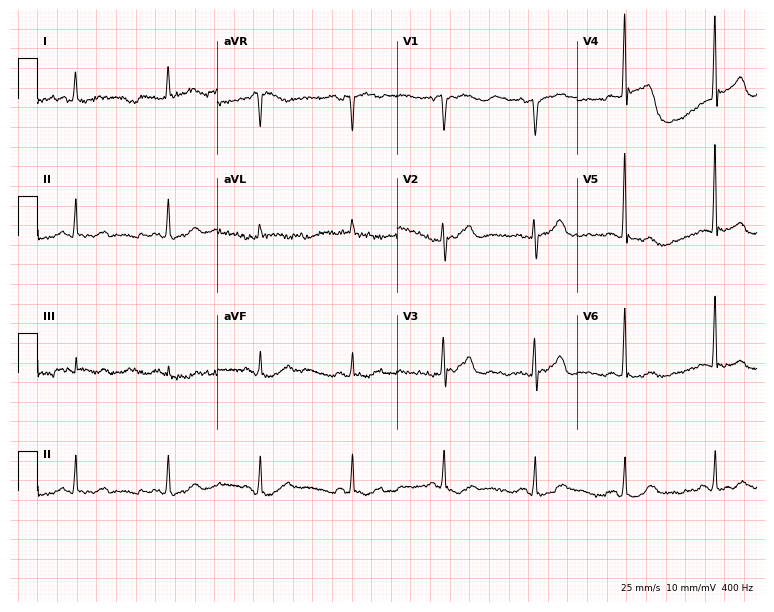
12-lead ECG from a man, 74 years old. Screened for six findings — first-degree AV block, right bundle branch block, left bundle branch block, sinus bradycardia, atrial fibrillation, sinus tachycardia — none is recorded.